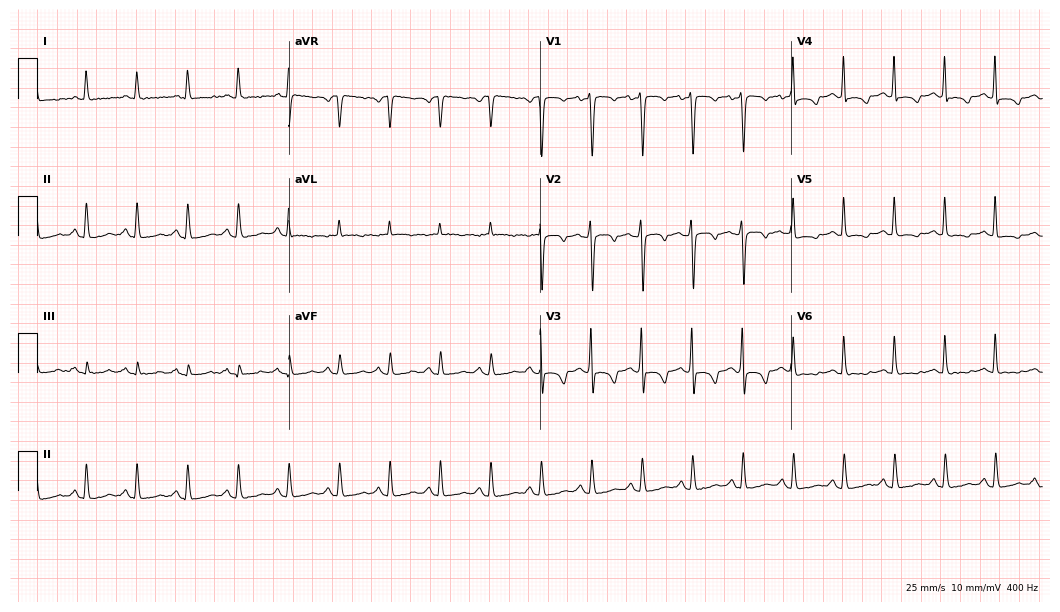
Standard 12-lead ECG recorded from a female, 81 years old (10.2-second recording at 400 Hz). The tracing shows sinus tachycardia (a sinus rate of 100 beats per minute or more).